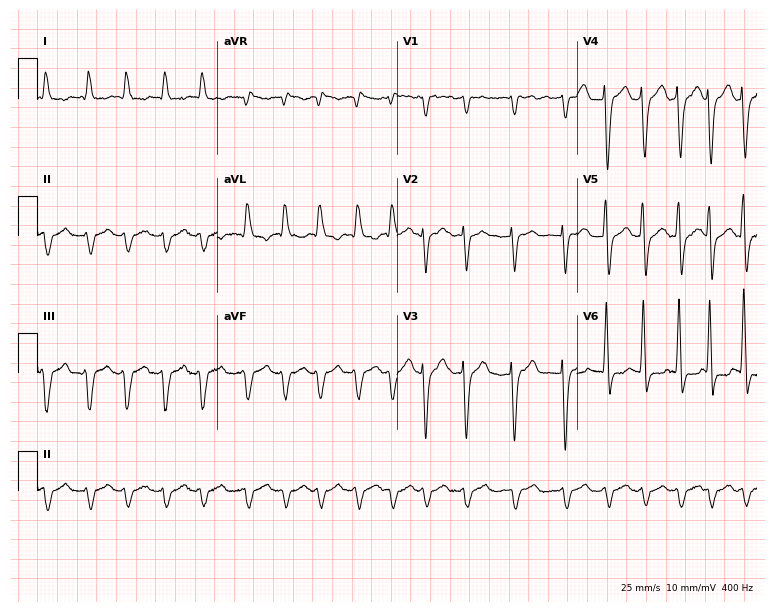
Standard 12-lead ECG recorded from an 85-year-old man (7.3-second recording at 400 Hz). The tracing shows atrial fibrillation.